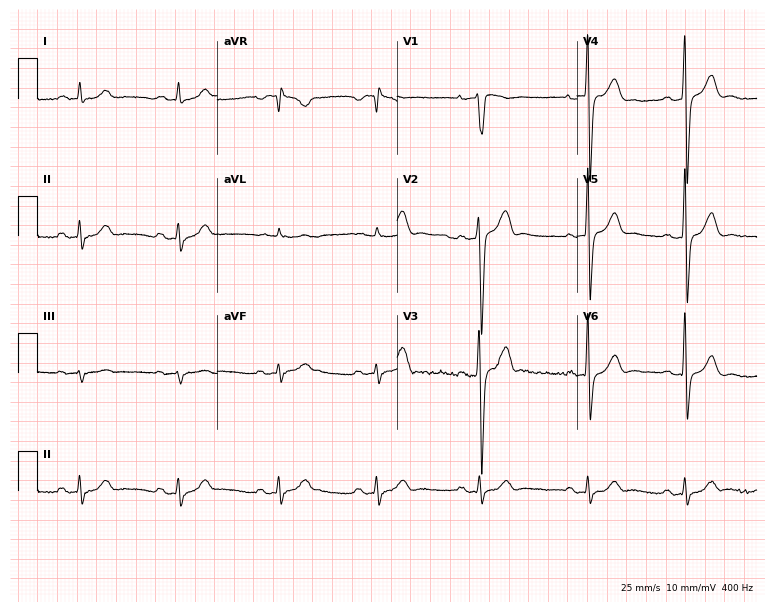
ECG (7.3-second recording at 400 Hz) — a male patient, 45 years old. Findings include first-degree AV block.